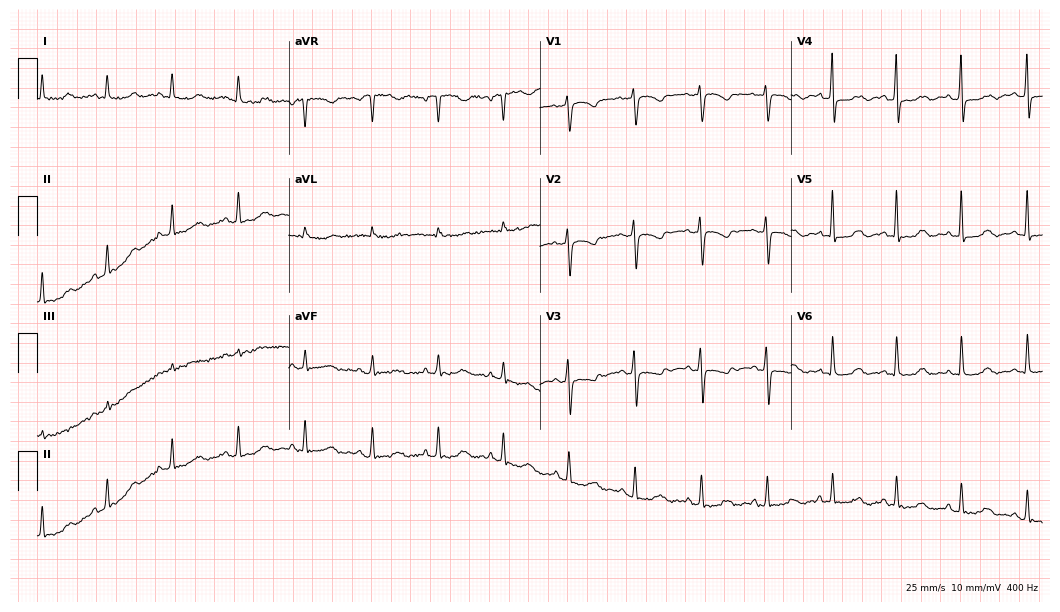
Resting 12-lead electrocardiogram. Patient: a 52-year-old female. None of these six findings is recorded: first-degree AV block, right bundle branch block, left bundle branch block, sinus bradycardia, atrial fibrillation, sinus tachycardia. Findings outside these six are not listed.